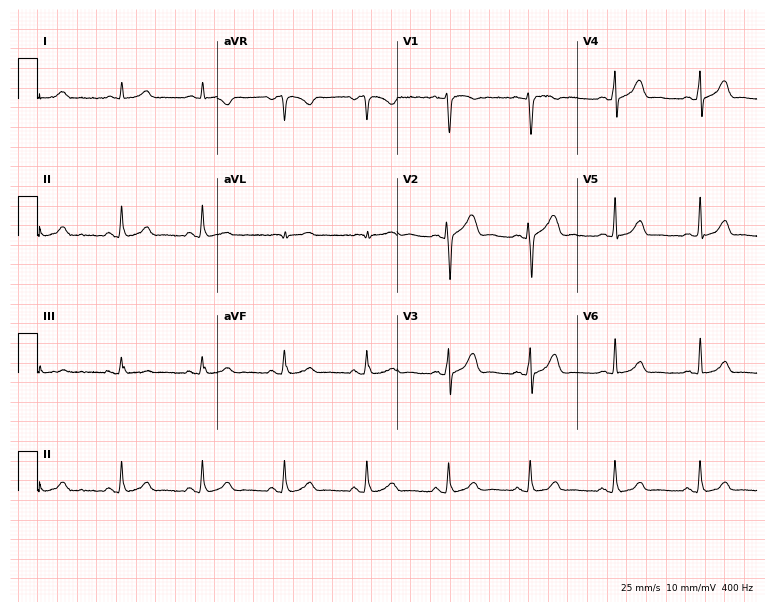
Standard 12-lead ECG recorded from a 37-year-old man (7.3-second recording at 400 Hz). Read as a normal ECG.